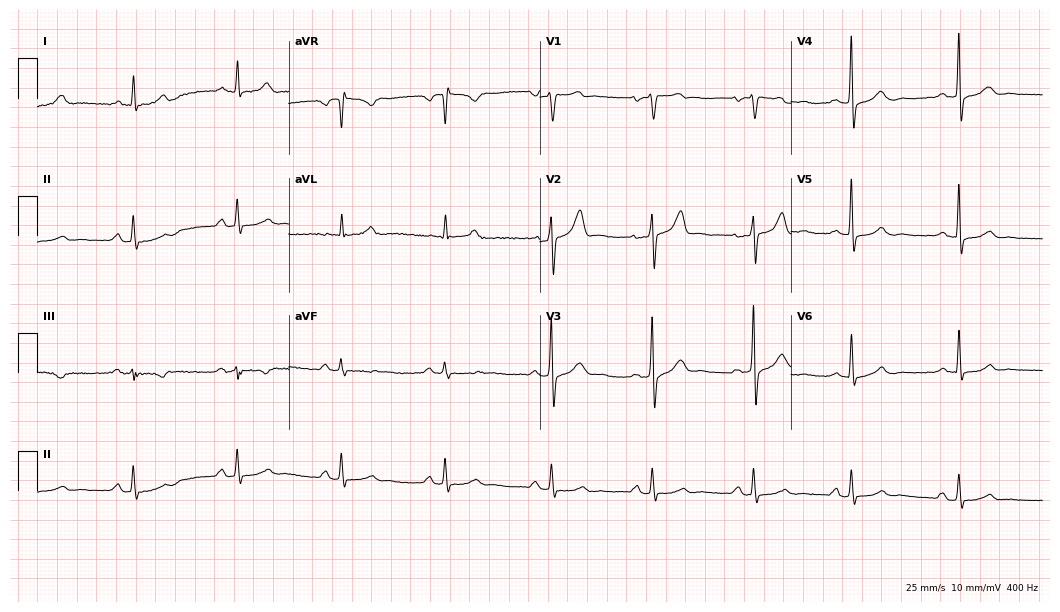
12-lead ECG from a male patient, 45 years old. Labelled as a normal ECG.